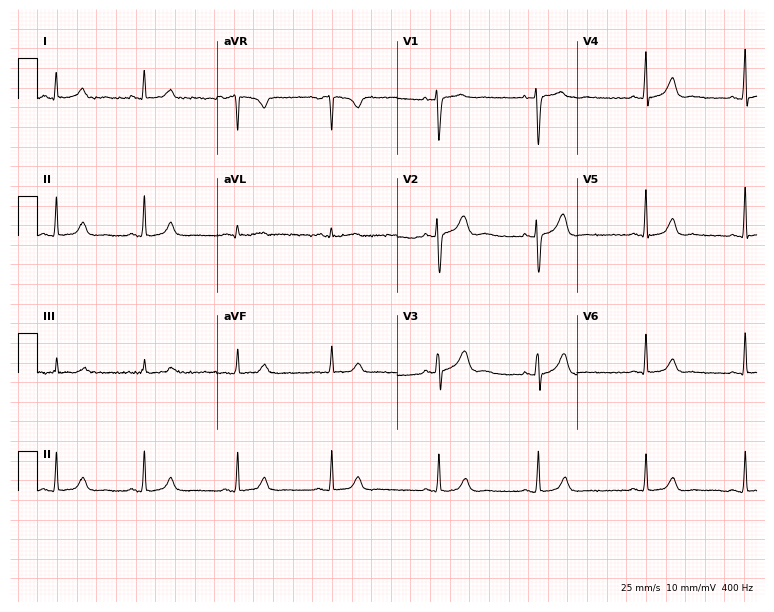
Standard 12-lead ECG recorded from a female patient, 33 years old (7.3-second recording at 400 Hz). Read as a normal ECG.